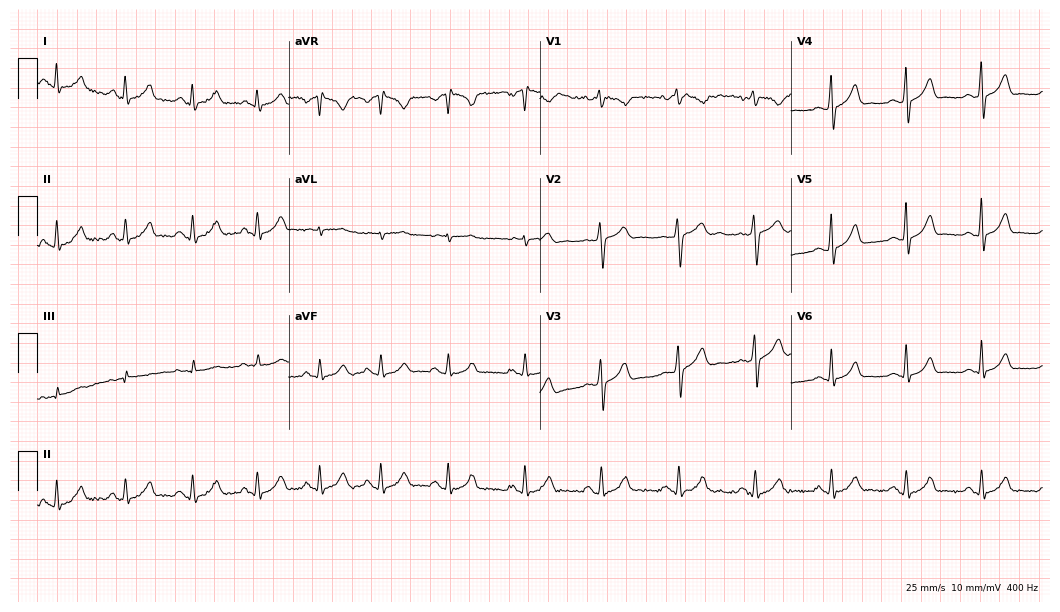
12-lead ECG from a female patient, 23 years old. Labelled as a normal ECG.